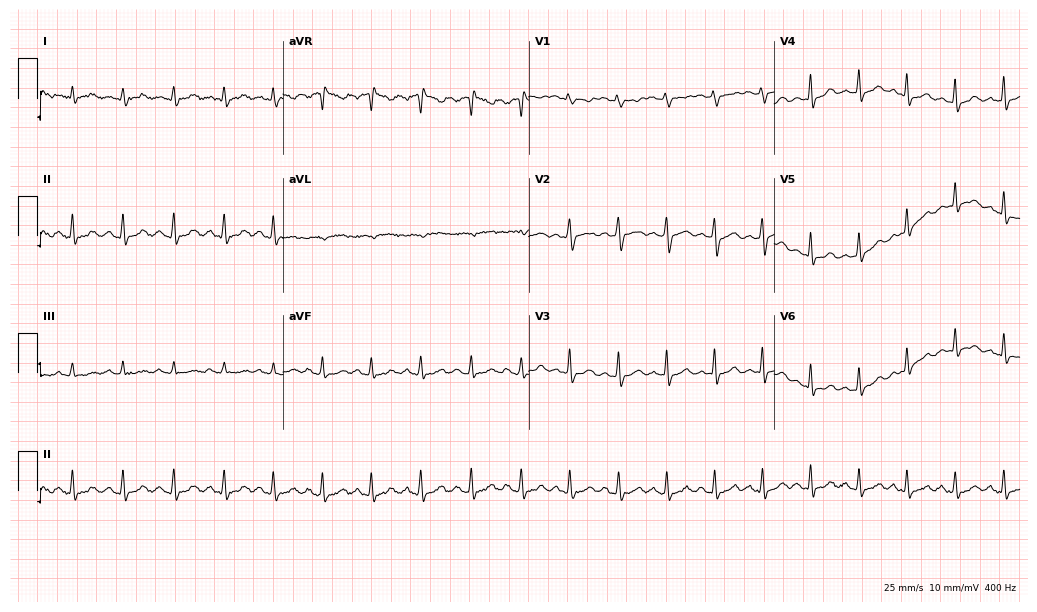
Standard 12-lead ECG recorded from a female patient, 26 years old (10-second recording at 400 Hz). None of these six findings is recorded: first-degree AV block, right bundle branch block, left bundle branch block, sinus bradycardia, atrial fibrillation, sinus tachycardia. Findings outside these six are not listed.